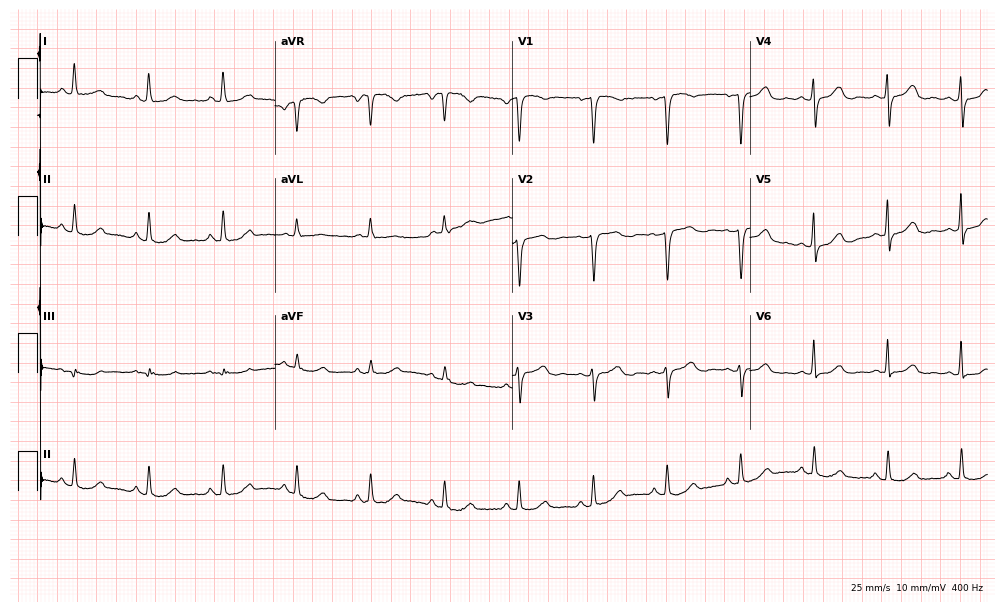
Resting 12-lead electrocardiogram (9.7-second recording at 400 Hz). Patient: a 52-year-old woman. Read as a normal ECG.